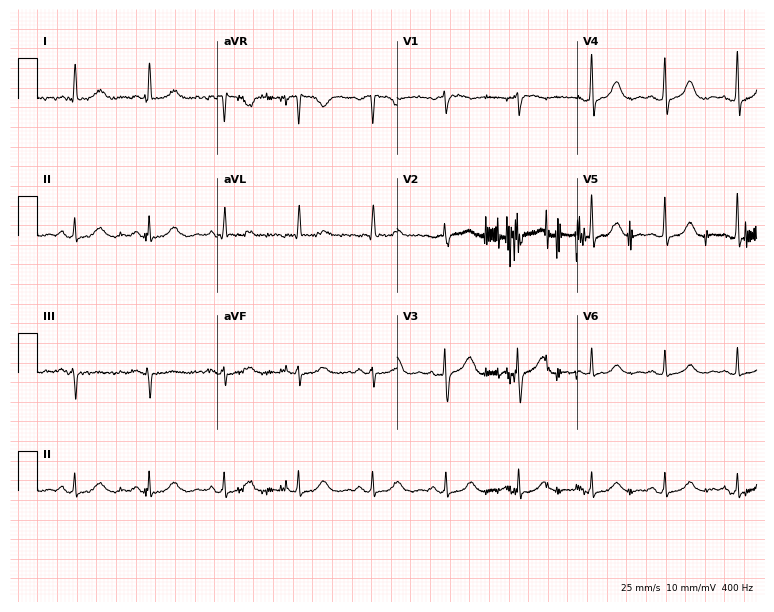
Standard 12-lead ECG recorded from a 74-year-old female patient (7.3-second recording at 400 Hz). Read as a normal ECG.